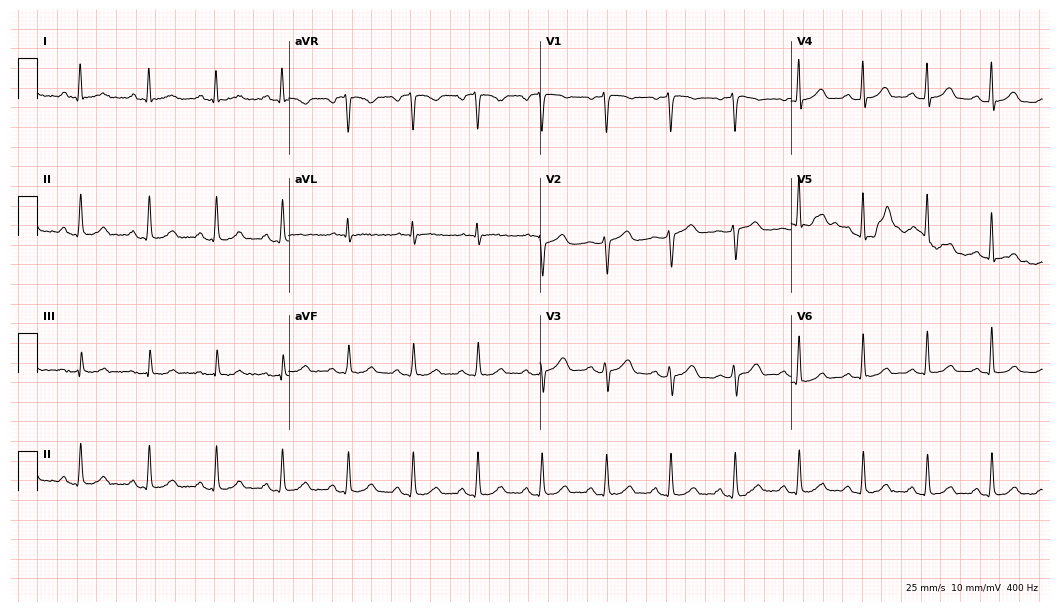
12-lead ECG from a female patient, 55 years old. Labelled as a normal ECG.